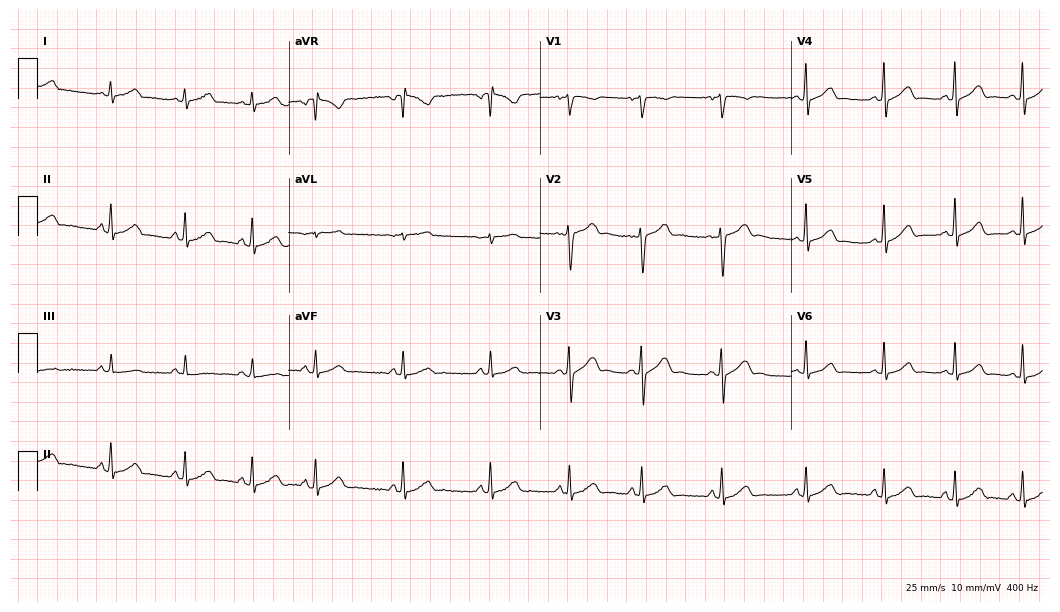
ECG (10.2-second recording at 400 Hz) — a 17-year-old woman. Labelled as a normal ECG.